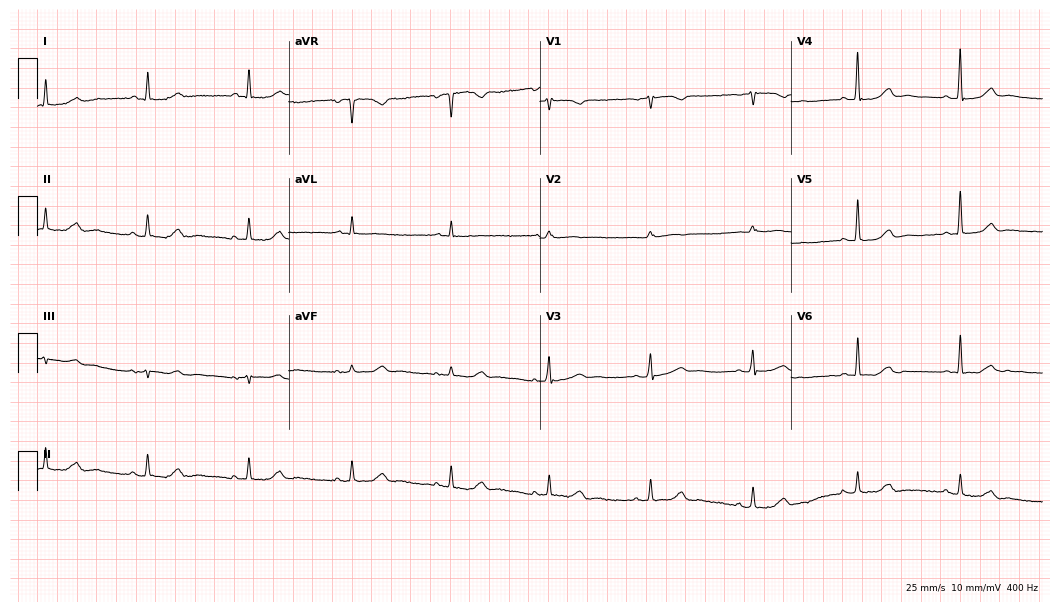
12-lead ECG from a woman, 74 years old. No first-degree AV block, right bundle branch block, left bundle branch block, sinus bradycardia, atrial fibrillation or sinus tachycardia recorded for this tracing. Other findings, if any, are not listed.